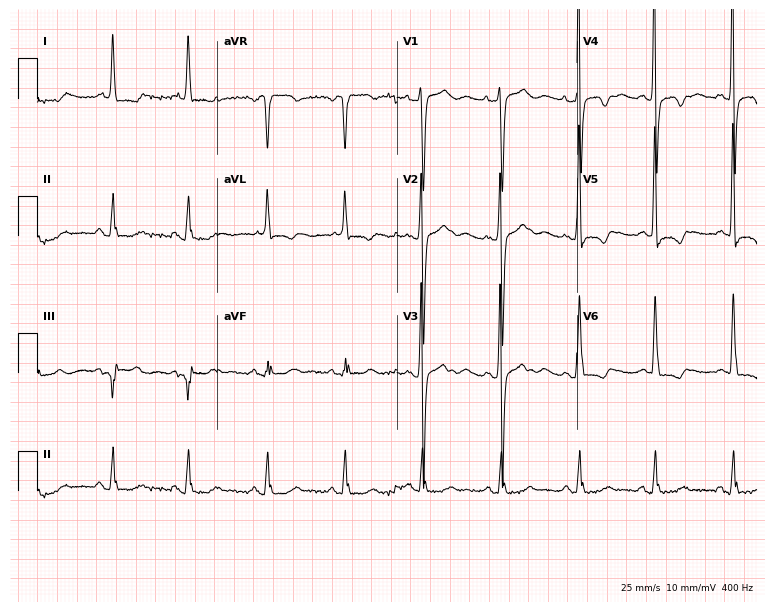
12-lead ECG from a woman, 60 years old. Labelled as a normal ECG.